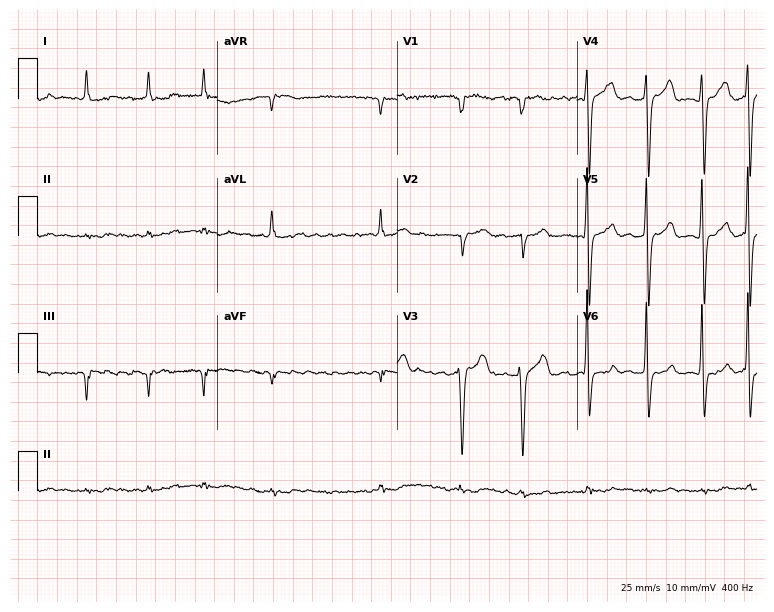
12-lead ECG (7.3-second recording at 400 Hz) from a man, 80 years old. Findings include atrial fibrillation (AF).